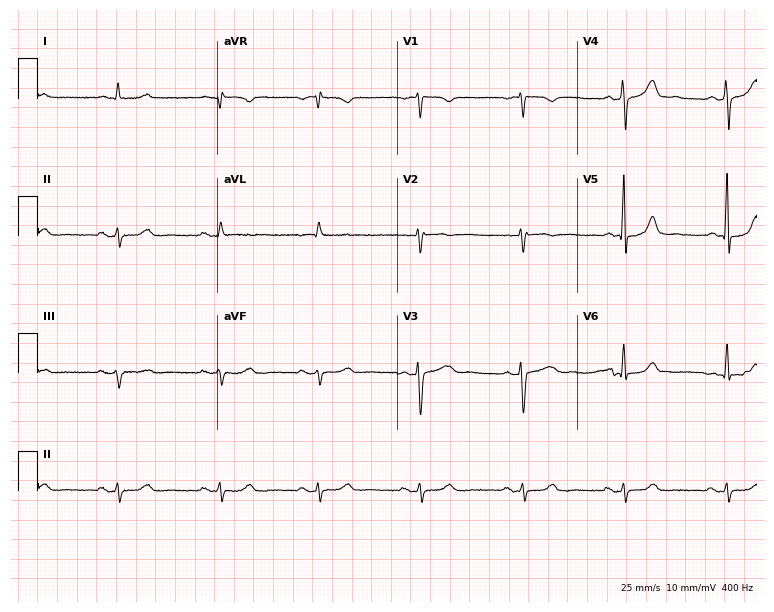
12-lead ECG from a female patient, 57 years old (7.3-second recording at 400 Hz). No first-degree AV block, right bundle branch block (RBBB), left bundle branch block (LBBB), sinus bradycardia, atrial fibrillation (AF) or sinus tachycardia recorded for this tracing.